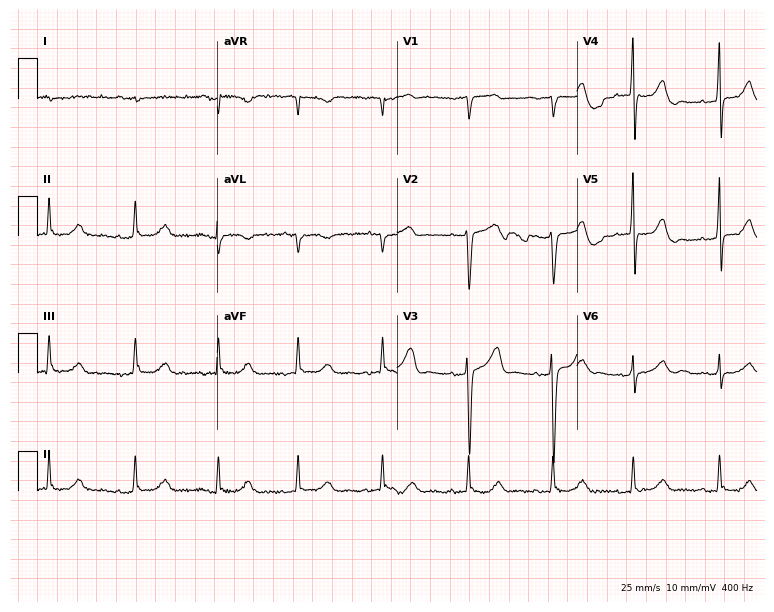
12-lead ECG from a 56-year-old male. No first-degree AV block, right bundle branch block, left bundle branch block, sinus bradycardia, atrial fibrillation or sinus tachycardia recorded for this tracing.